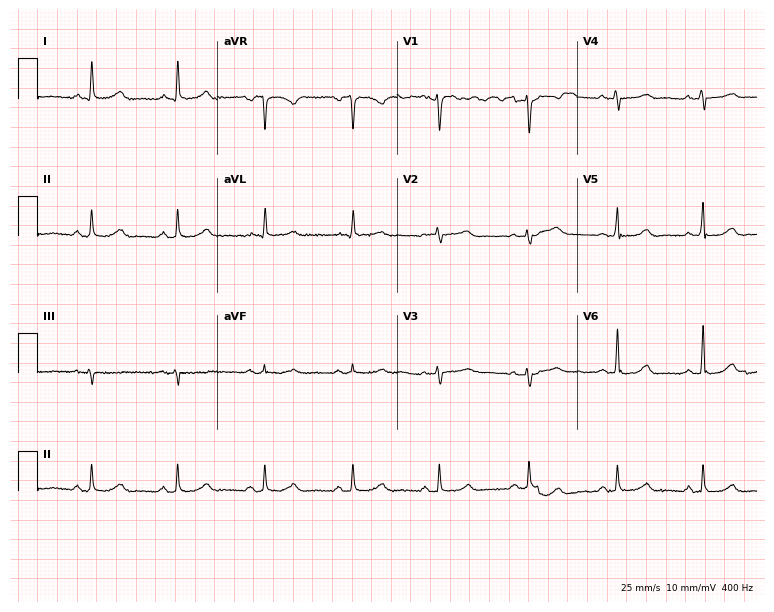
Standard 12-lead ECG recorded from a 71-year-old woman. None of these six findings is recorded: first-degree AV block, right bundle branch block, left bundle branch block, sinus bradycardia, atrial fibrillation, sinus tachycardia. Findings outside these six are not listed.